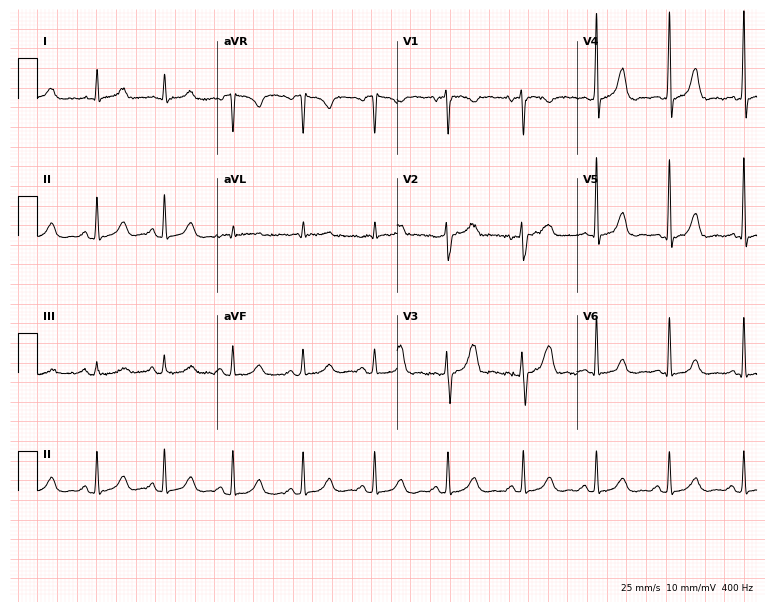
ECG — a 42-year-old woman. Screened for six findings — first-degree AV block, right bundle branch block, left bundle branch block, sinus bradycardia, atrial fibrillation, sinus tachycardia — none is recorded. Findings outside these six are not listed.